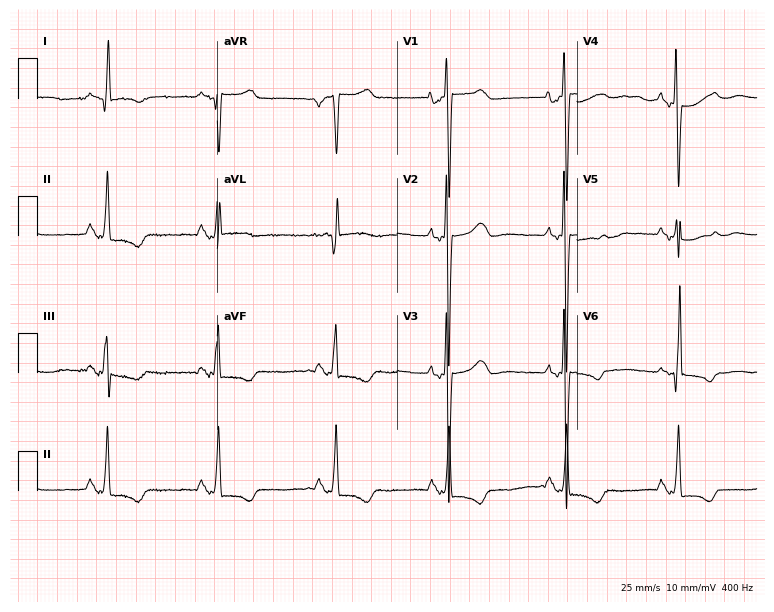
Resting 12-lead electrocardiogram. Patient: a female, 76 years old. None of these six findings is recorded: first-degree AV block, right bundle branch block (RBBB), left bundle branch block (LBBB), sinus bradycardia, atrial fibrillation (AF), sinus tachycardia.